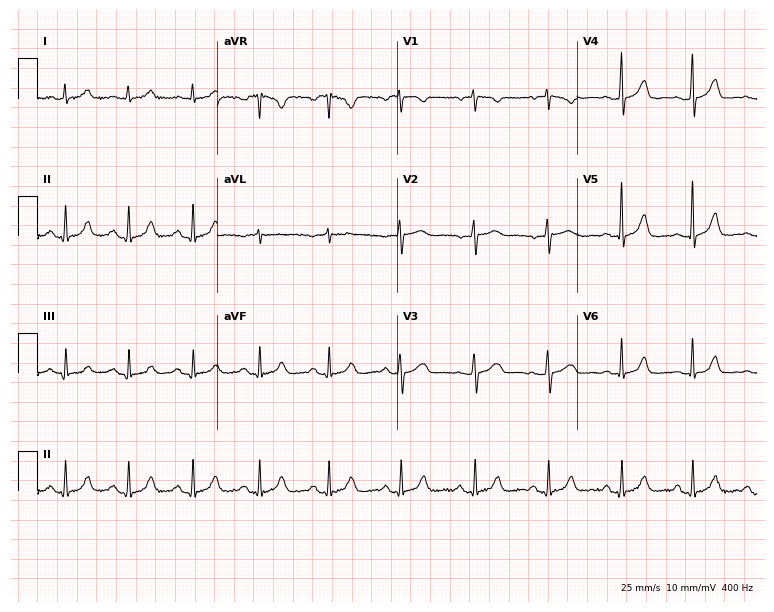
ECG (7.3-second recording at 400 Hz) — a 60-year-old woman. Screened for six findings — first-degree AV block, right bundle branch block, left bundle branch block, sinus bradycardia, atrial fibrillation, sinus tachycardia — none is recorded.